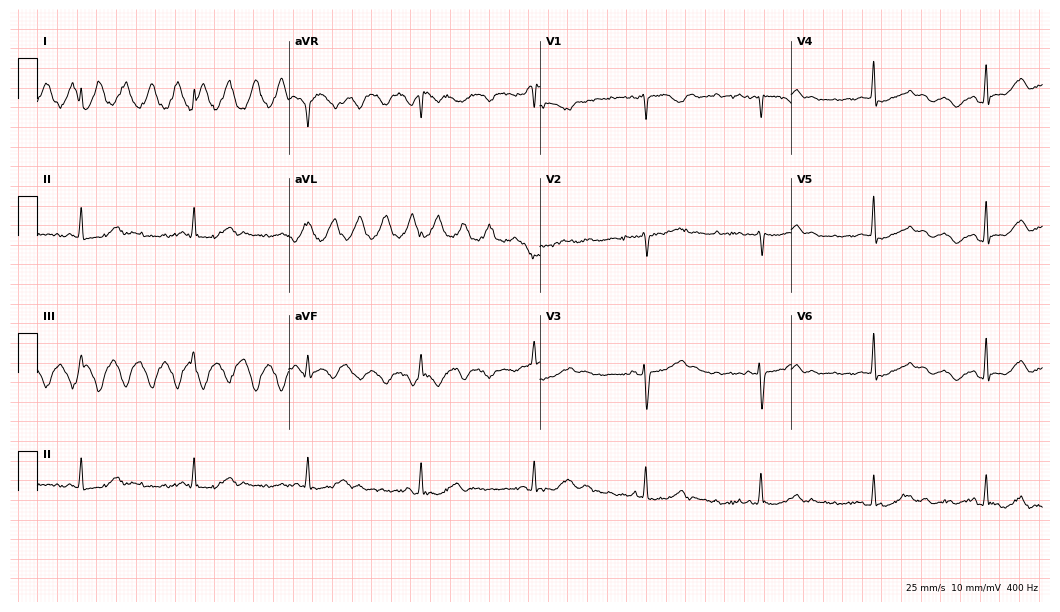
Standard 12-lead ECG recorded from a 77-year-old female. None of these six findings is recorded: first-degree AV block, right bundle branch block, left bundle branch block, sinus bradycardia, atrial fibrillation, sinus tachycardia. Findings outside these six are not listed.